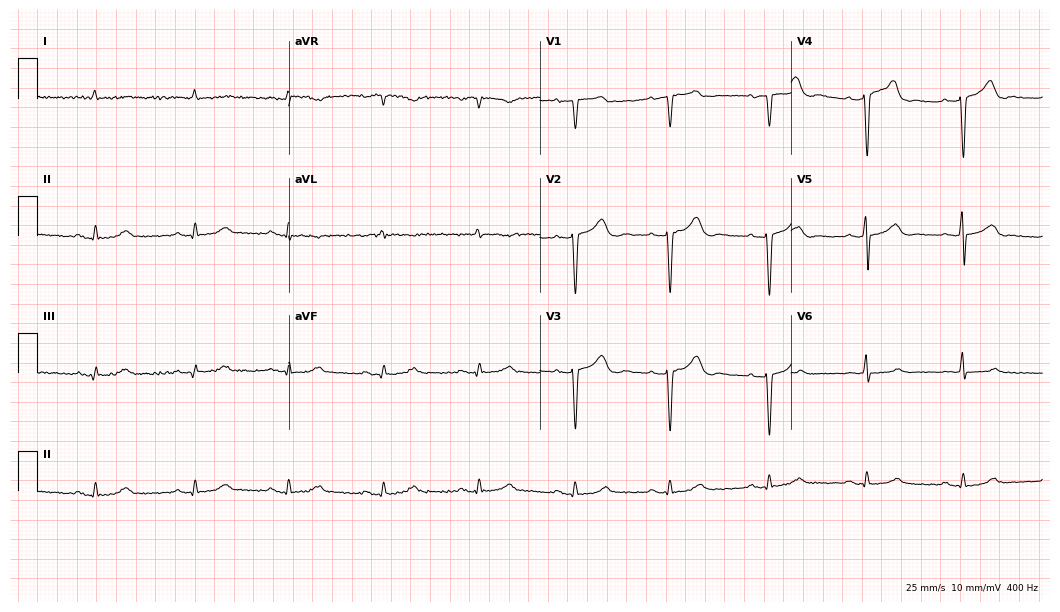
12-lead ECG from a male patient, 81 years old. No first-degree AV block, right bundle branch block, left bundle branch block, sinus bradycardia, atrial fibrillation or sinus tachycardia recorded for this tracing.